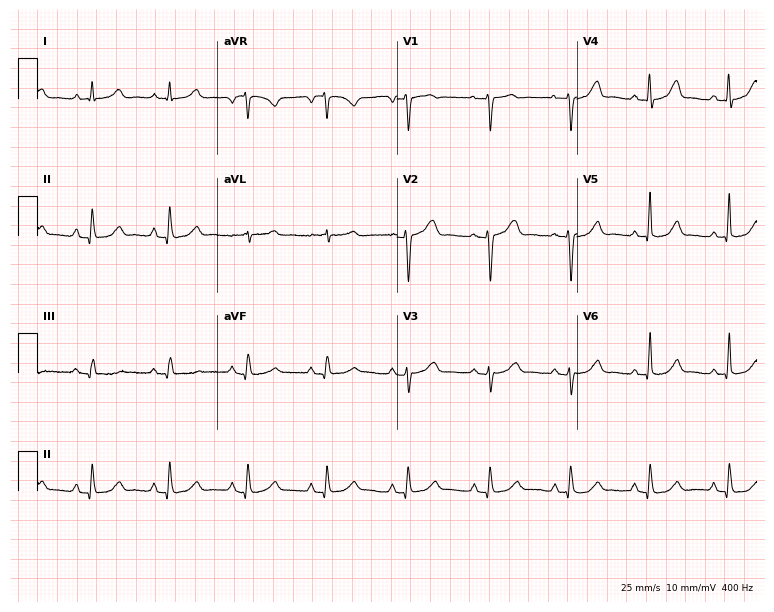
Standard 12-lead ECG recorded from an 80-year-old female. Read as a normal ECG.